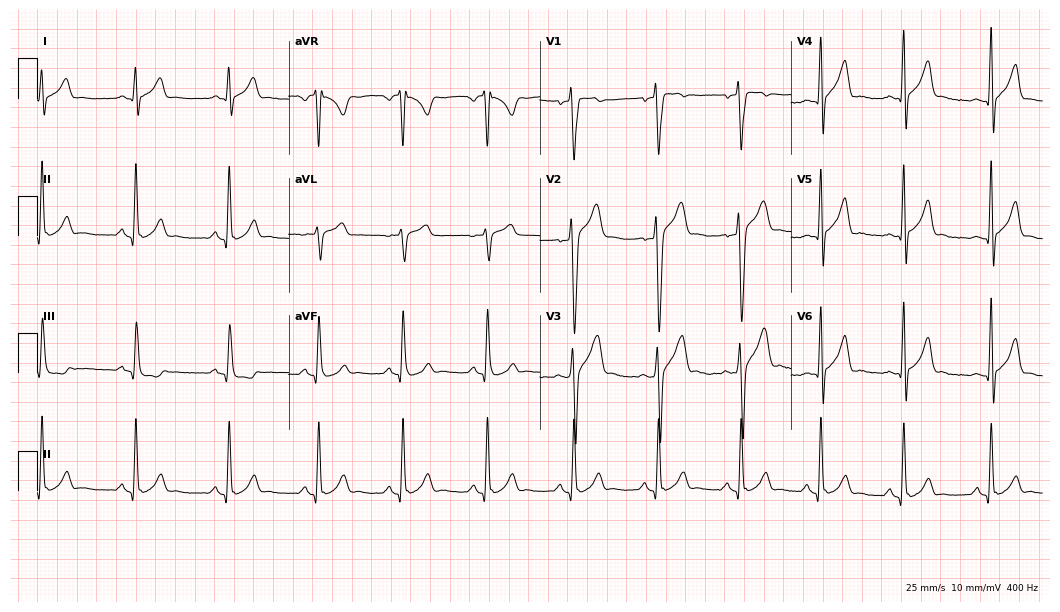
Standard 12-lead ECG recorded from a 24-year-old male patient. None of these six findings is recorded: first-degree AV block, right bundle branch block, left bundle branch block, sinus bradycardia, atrial fibrillation, sinus tachycardia.